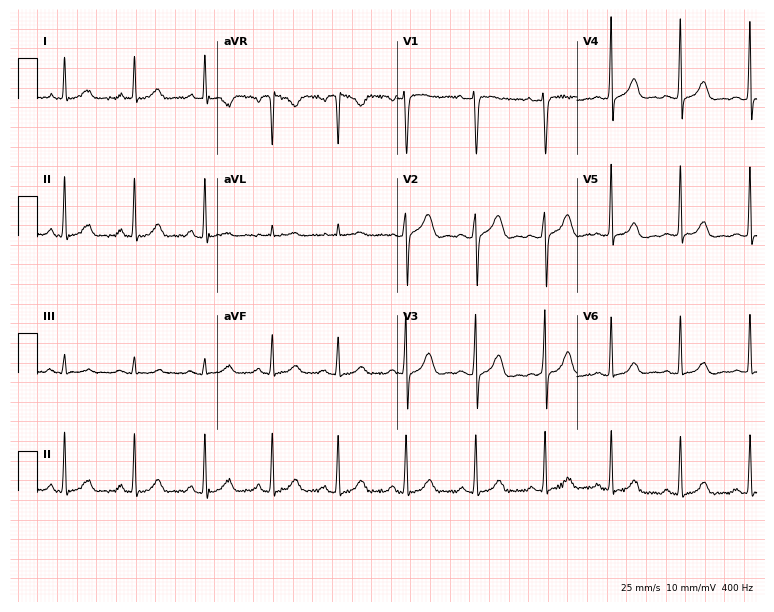
Resting 12-lead electrocardiogram (7.3-second recording at 400 Hz). Patient: a 29-year-old woman. Read as a normal ECG.